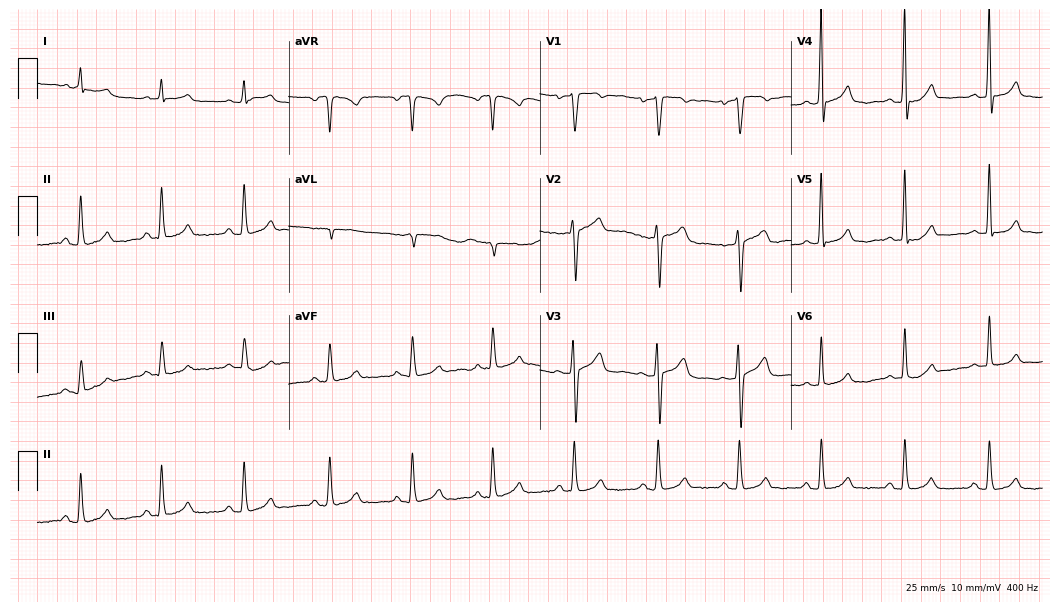
12-lead ECG from a 58-year-old male patient (10.2-second recording at 400 Hz). Recorded interpretation: within normal limits.